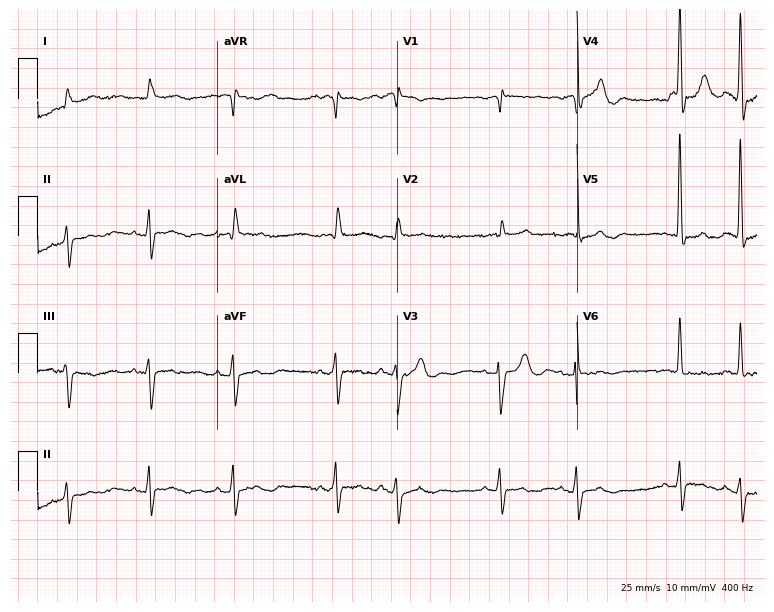
Electrocardiogram (7.3-second recording at 400 Hz), an 80-year-old male patient. Of the six screened findings (first-degree AV block, right bundle branch block (RBBB), left bundle branch block (LBBB), sinus bradycardia, atrial fibrillation (AF), sinus tachycardia), none is recorded.